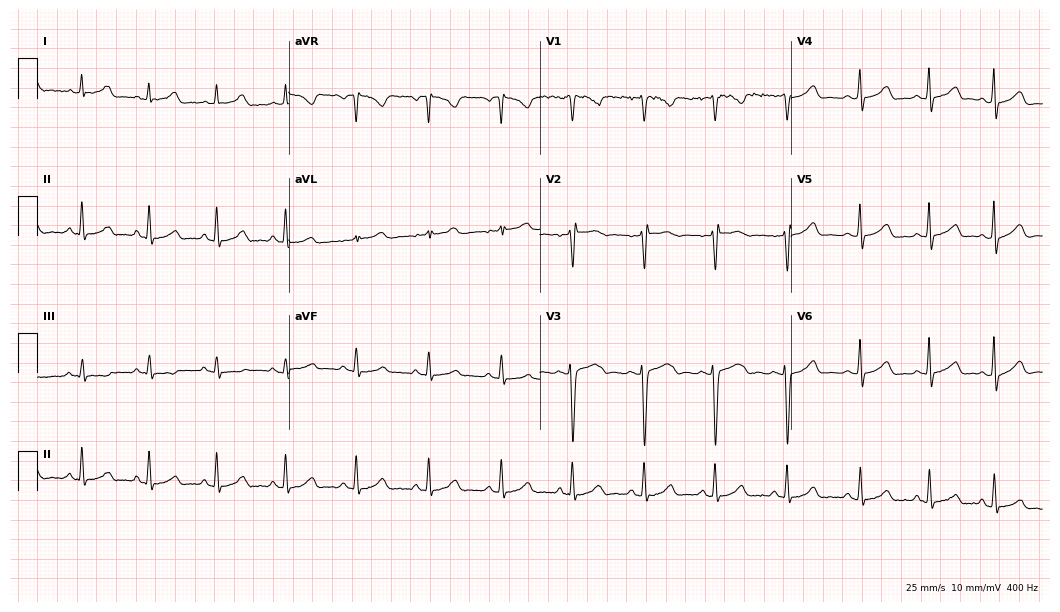
12-lead ECG from a female patient, 19 years old (10.2-second recording at 400 Hz). Recorded interpretation: within normal limits.